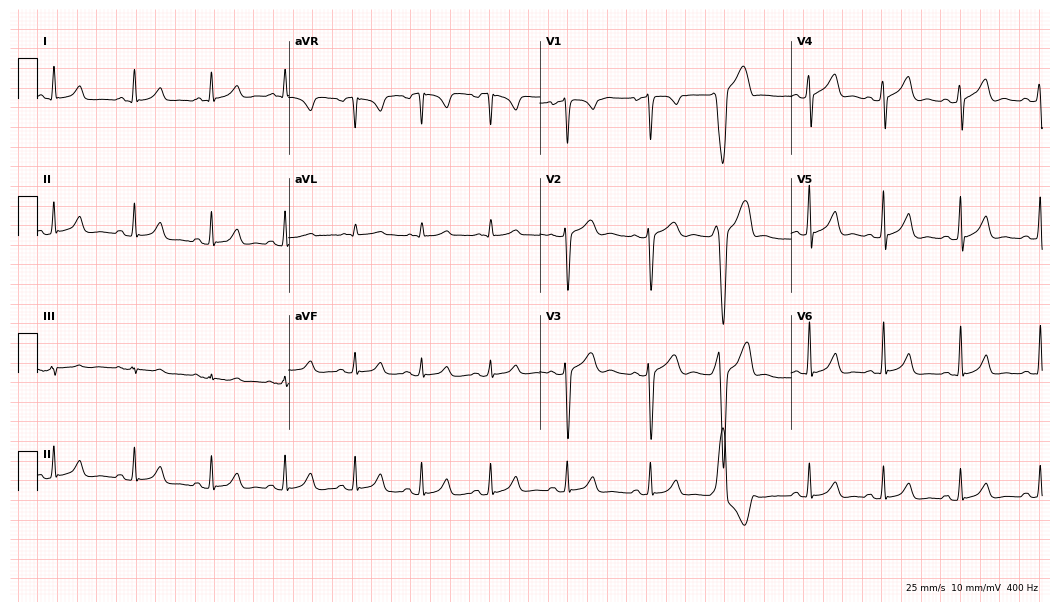
12-lead ECG (10.2-second recording at 400 Hz) from a man, 30 years old. Labelled as a normal ECG.